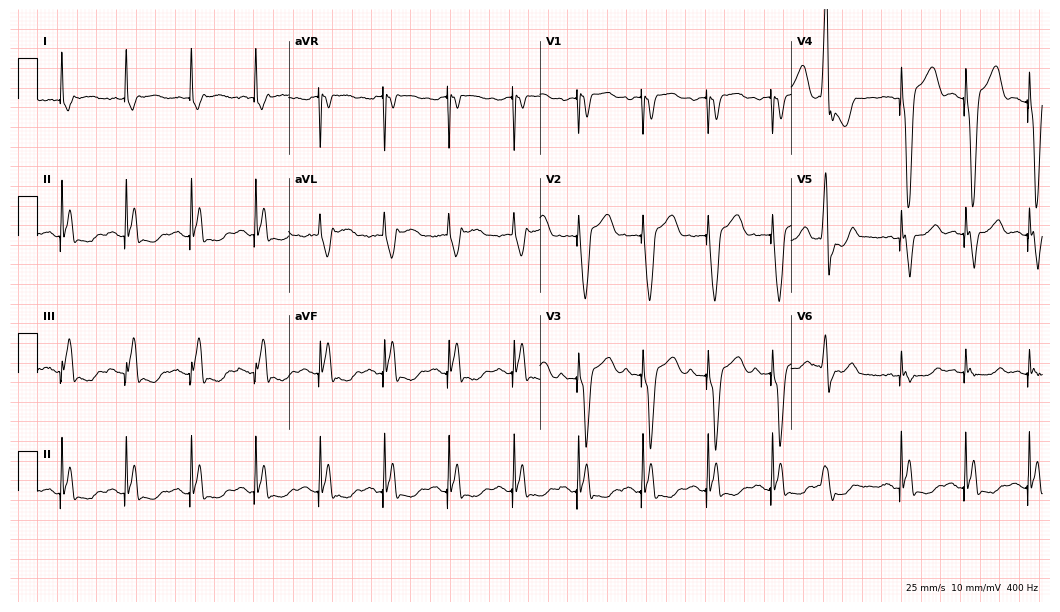
12-lead ECG (10.2-second recording at 400 Hz) from a male, 85 years old. Screened for six findings — first-degree AV block, right bundle branch block, left bundle branch block, sinus bradycardia, atrial fibrillation, sinus tachycardia — none is recorded. Only these six findings were labelled.